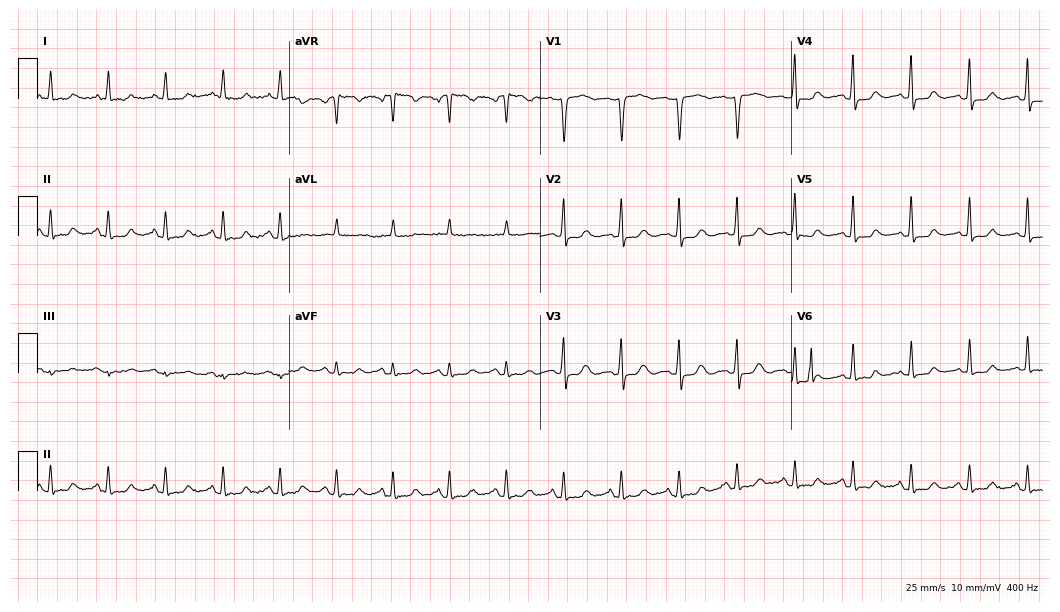
12-lead ECG from a female, 45 years old (10.2-second recording at 400 Hz). Shows sinus tachycardia (a sinus rate of 100 beats per minute or more).